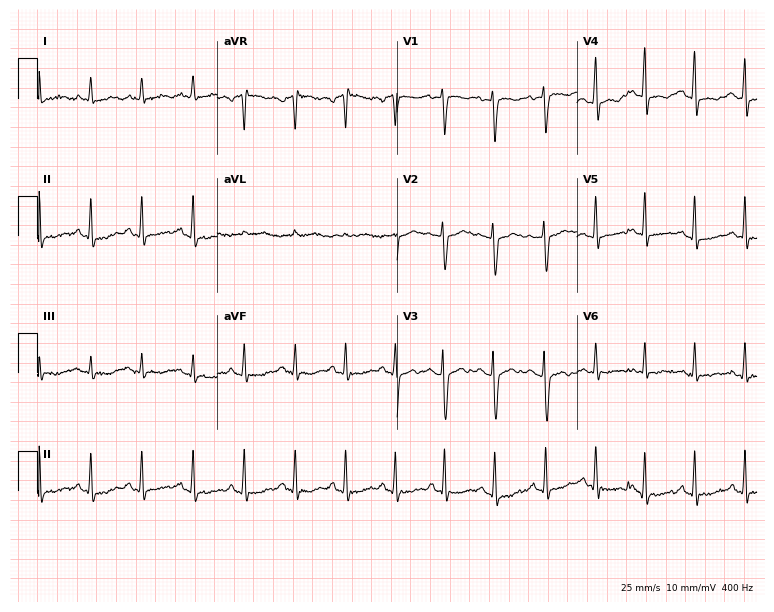
Resting 12-lead electrocardiogram. Patient: a 19-year-old male. None of these six findings is recorded: first-degree AV block, right bundle branch block, left bundle branch block, sinus bradycardia, atrial fibrillation, sinus tachycardia. Findings outside these six are not listed.